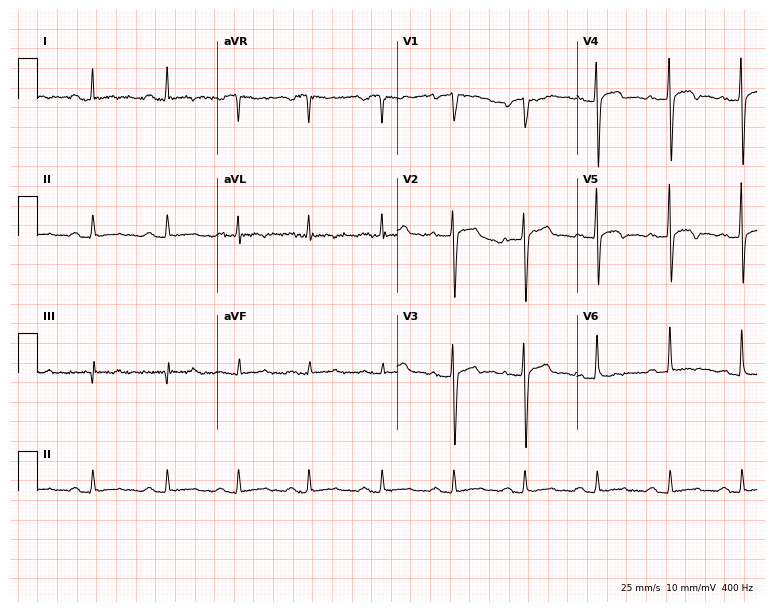
Resting 12-lead electrocardiogram (7.3-second recording at 400 Hz). Patient: a male, 33 years old. The tracing shows first-degree AV block.